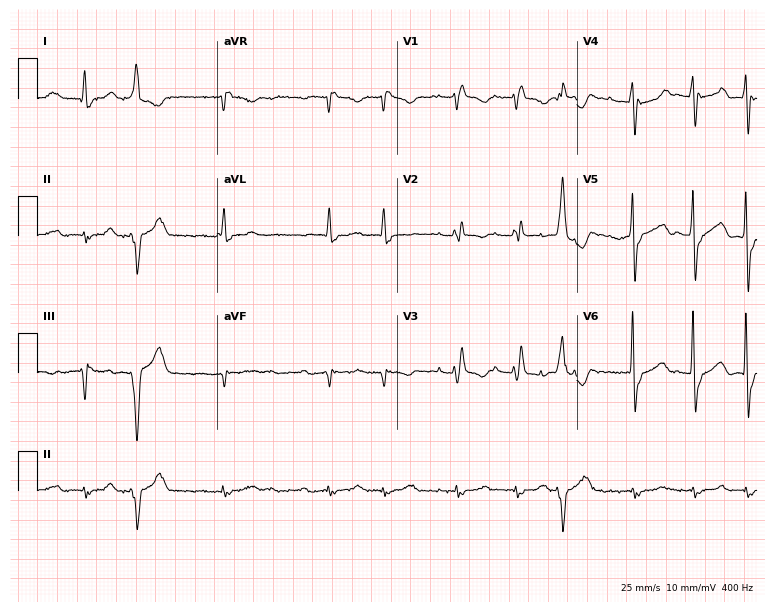
12-lead ECG (7.3-second recording at 400 Hz) from an 81-year-old male. Screened for six findings — first-degree AV block, right bundle branch block, left bundle branch block, sinus bradycardia, atrial fibrillation, sinus tachycardia — none is recorded.